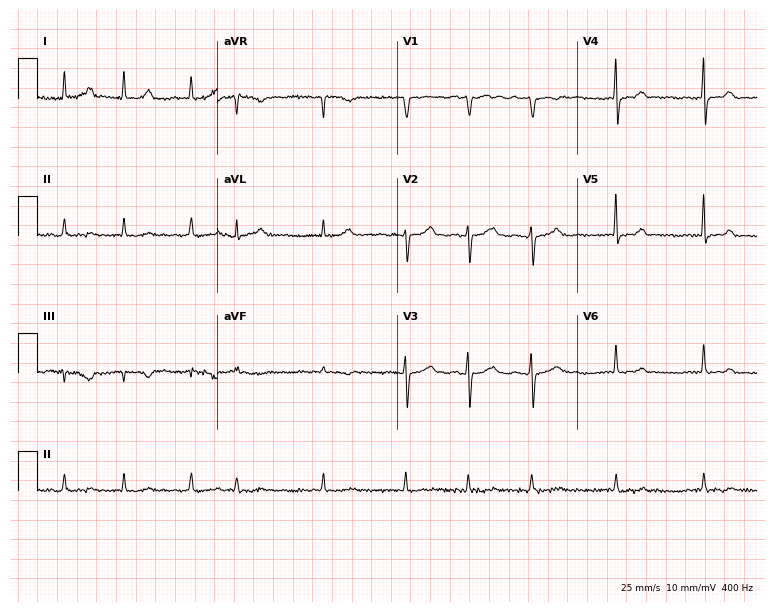
Electrocardiogram (7.3-second recording at 400 Hz), a 71-year-old female. Interpretation includes atrial fibrillation.